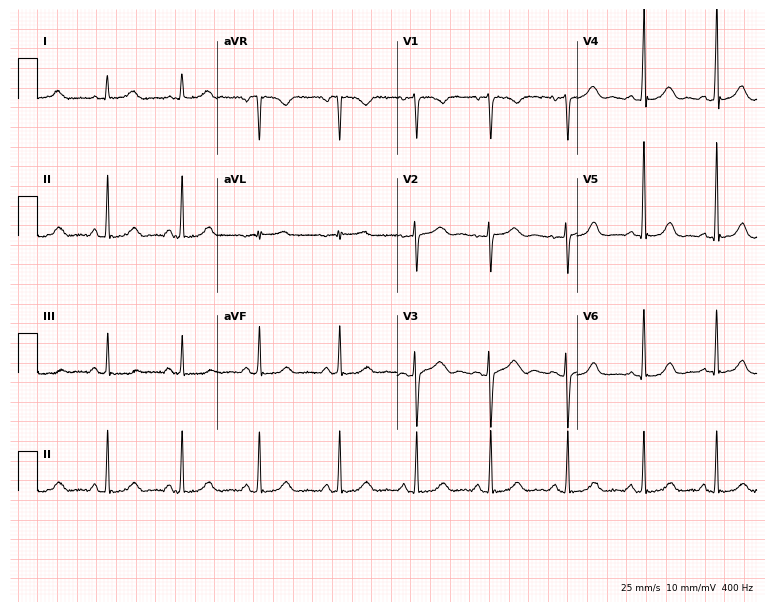
ECG (7.3-second recording at 400 Hz) — a woman, 31 years old. Labelled as a normal ECG.